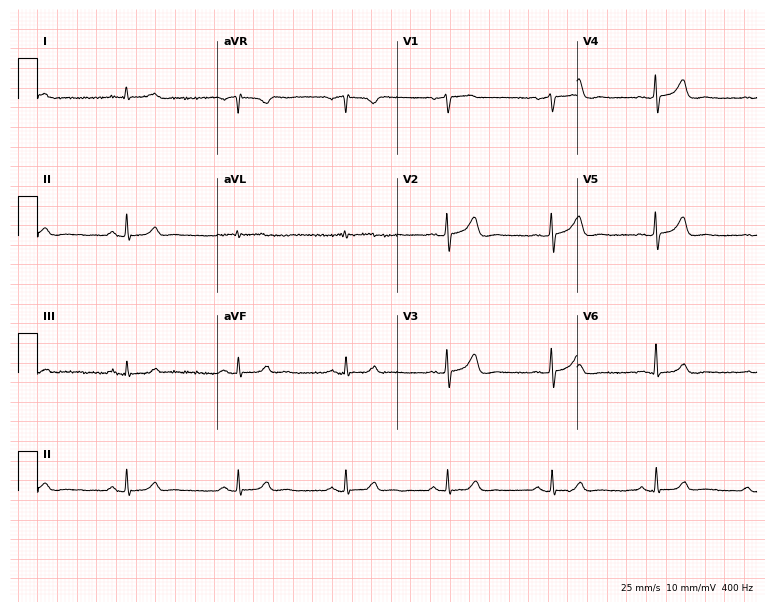
12-lead ECG from a 64-year-old man. Labelled as a normal ECG.